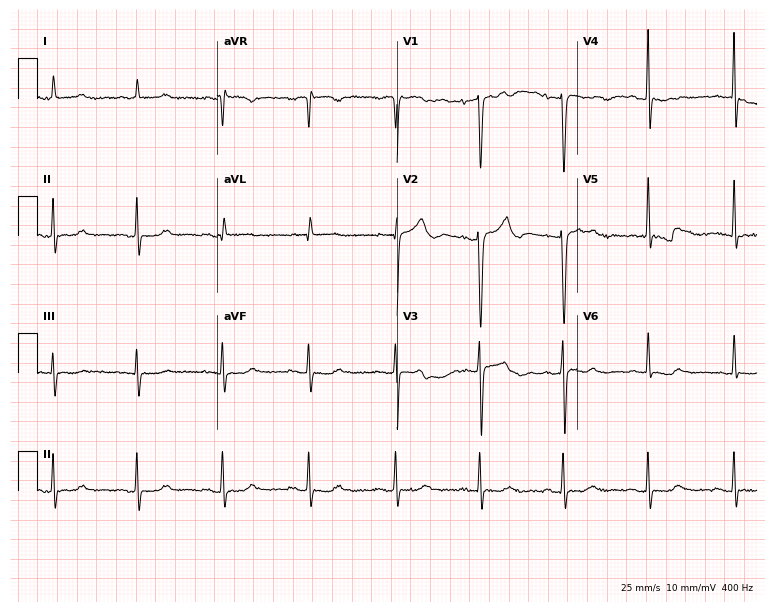
12-lead ECG (7.3-second recording at 400 Hz) from a female patient, 45 years old. Screened for six findings — first-degree AV block, right bundle branch block, left bundle branch block, sinus bradycardia, atrial fibrillation, sinus tachycardia — none is recorded.